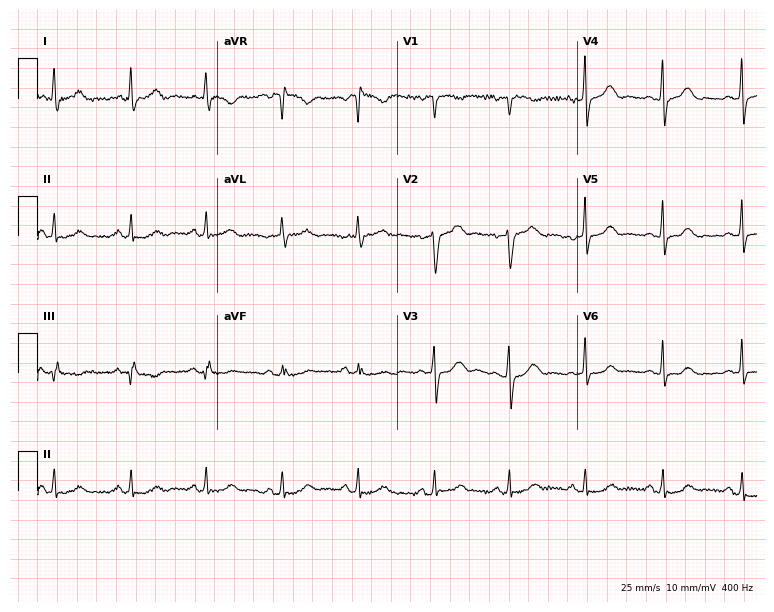
Standard 12-lead ECG recorded from a 47-year-old woman (7.3-second recording at 400 Hz). Read as a normal ECG.